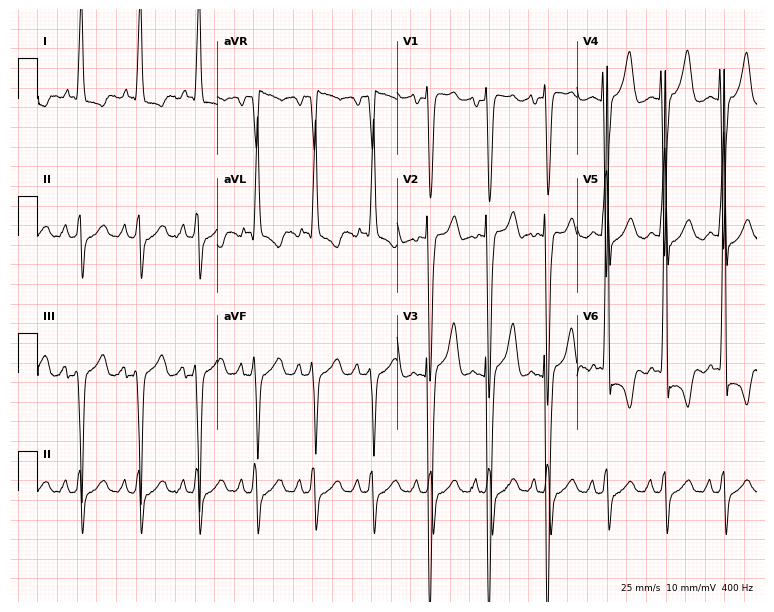
12-lead ECG from a 76-year-old female patient (7.3-second recording at 400 Hz). No first-degree AV block, right bundle branch block (RBBB), left bundle branch block (LBBB), sinus bradycardia, atrial fibrillation (AF) or sinus tachycardia recorded for this tracing.